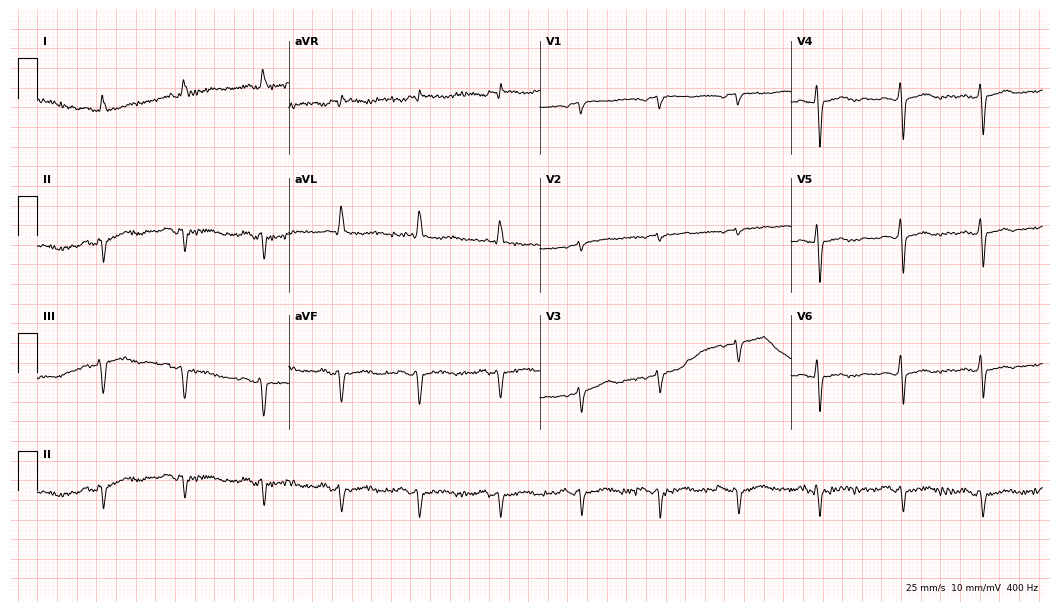
12-lead ECG (10.2-second recording at 400 Hz) from a woman, 62 years old. Screened for six findings — first-degree AV block, right bundle branch block, left bundle branch block, sinus bradycardia, atrial fibrillation, sinus tachycardia — none is recorded.